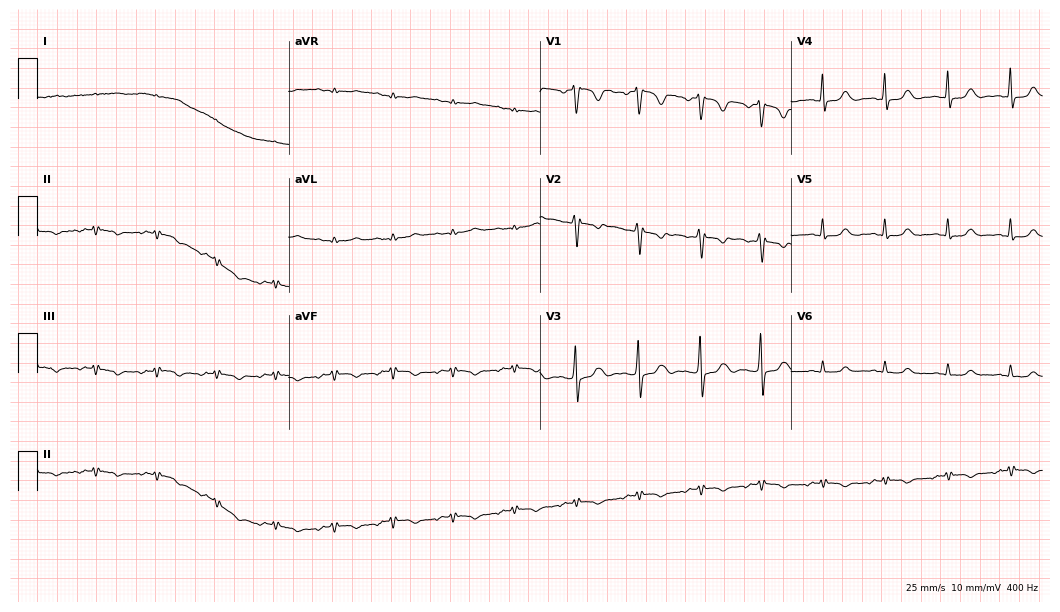
Standard 12-lead ECG recorded from a 47-year-old female. Read as a normal ECG.